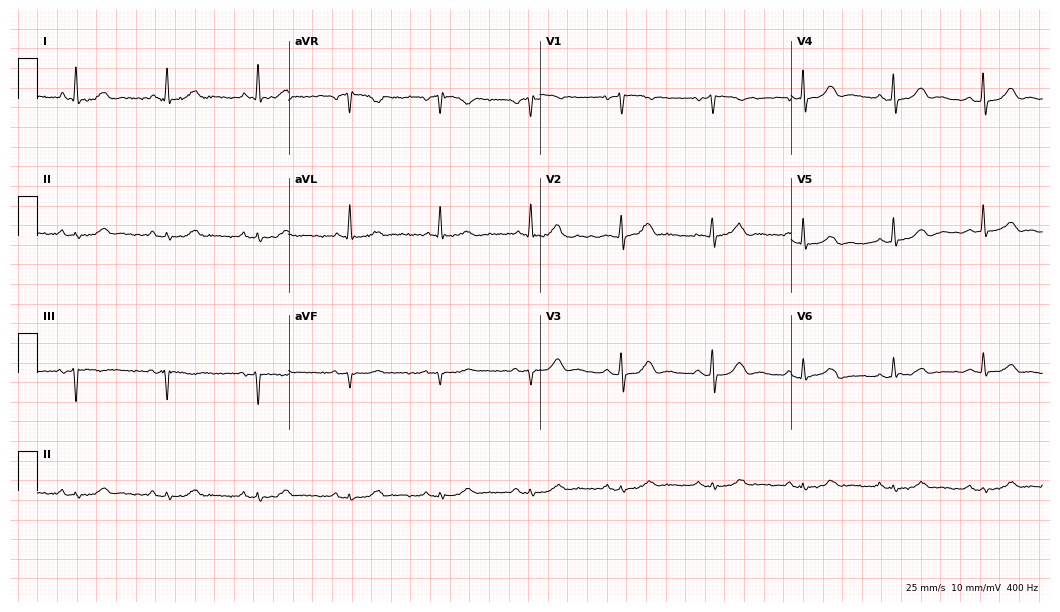
Standard 12-lead ECG recorded from a male, 75 years old. Read as a normal ECG.